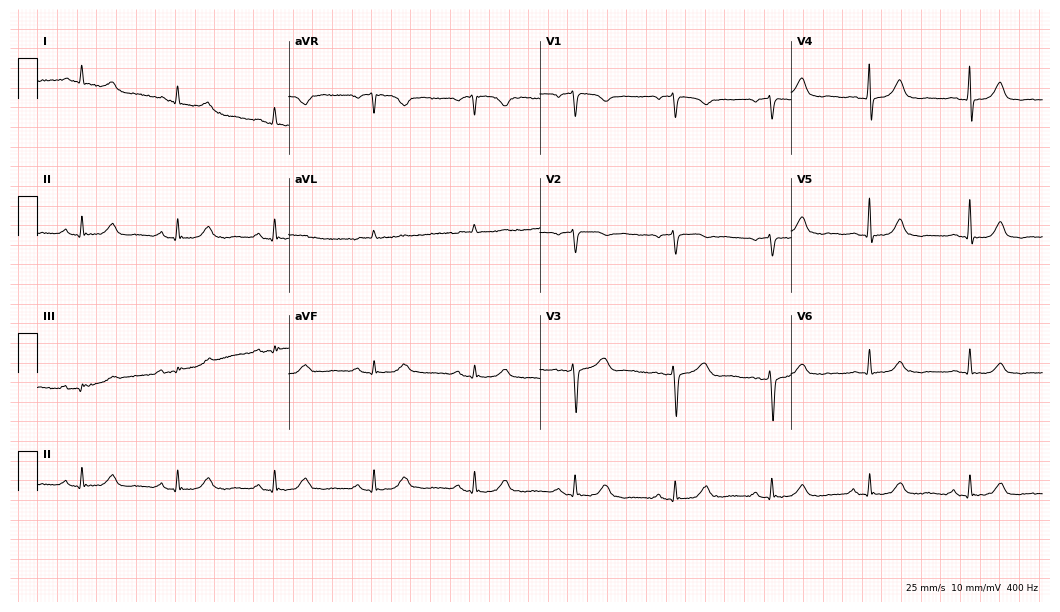
Electrocardiogram, a woman, 59 years old. Overall reading on record: normal ECG.